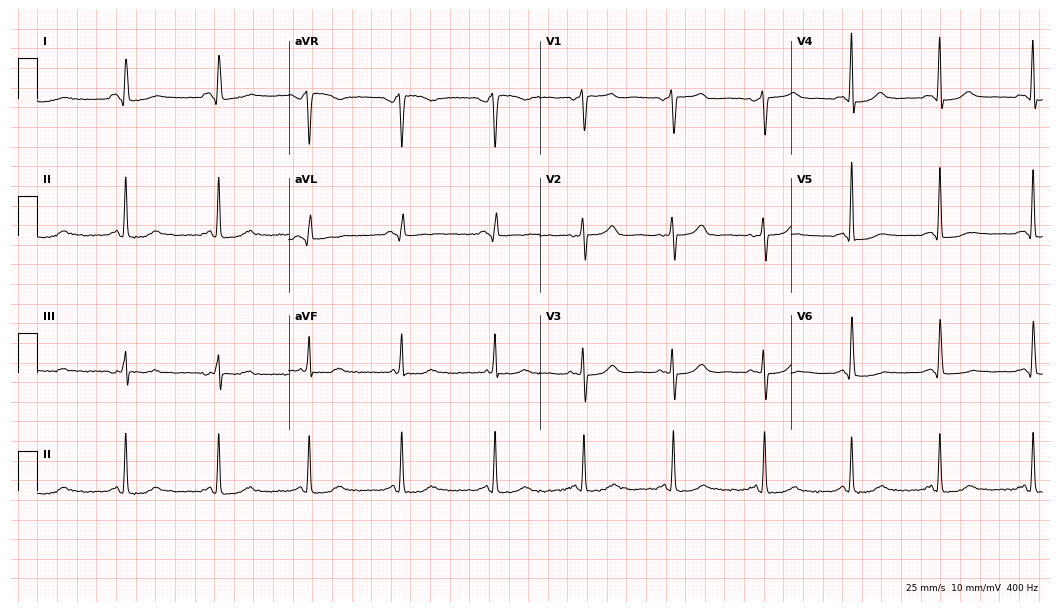
12-lead ECG (10.2-second recording at 400 Hz) from a female, 60 years old. Screened for six findings — first-degree AV block, right bundle branch block, left bundle branch block, sinus bradycardia, atrial fibrillation, sinus tachycardia — none is recorded. Findings outside these six are not listed.